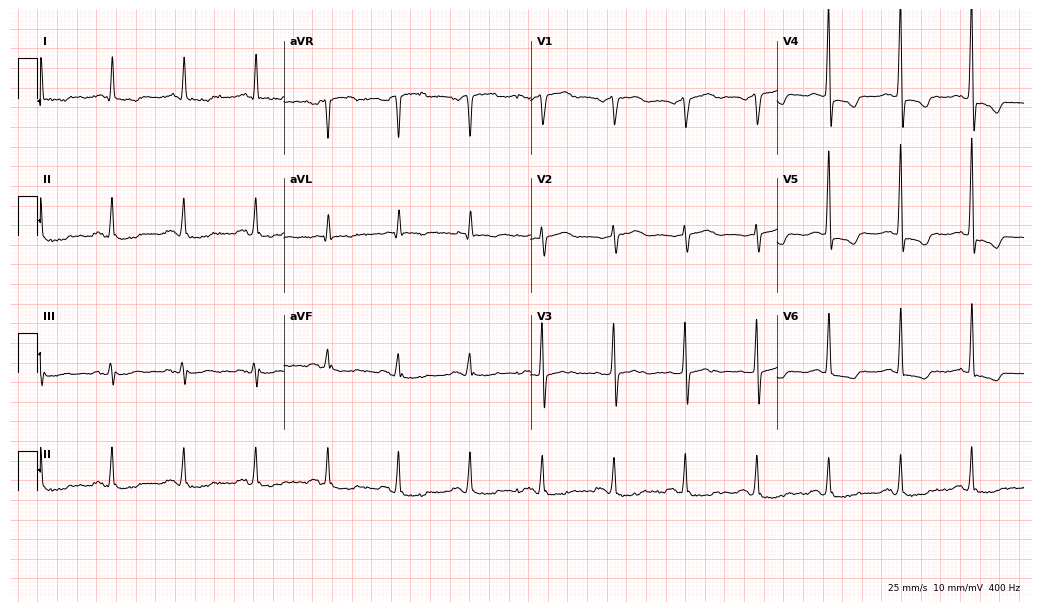
12-lead ECG from a male patient, 77 years old. Screened for six findings — first-degree AV block, right bundle branch block, left bundle branch block, sinus bradycardia, atrial fibrillation, sinus tachycardia — none is recorded.